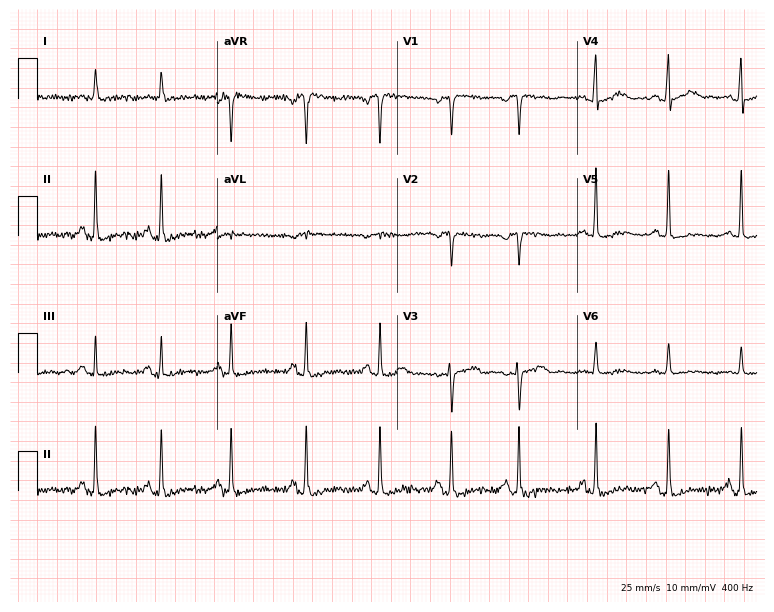
Electrocardiogram, a 74-year-old female. Of the six screened findings (first-degree AV block, right bundle branch block, left bundle branch block, sinus bradycardia, atrial fibrillation, sinus tachycardia), none is recorded. Only these six findings were labelled.